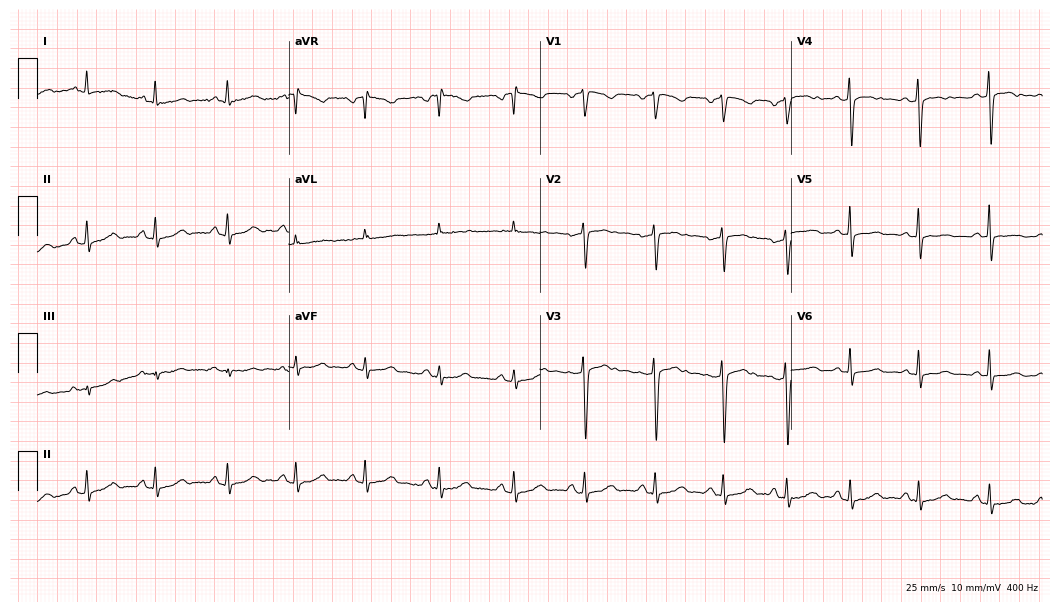
Resting 12-lead electrocardiogram. Patient: a woman, 43 years old. None of these six findings is recorded: first-degree AV block, right bundle branch block (RBBB), left bundle branch block (LBBB), sinus bradycardia, atrial fibrillation (AF), sinus tachycardia. Findings outside these six are not listed.